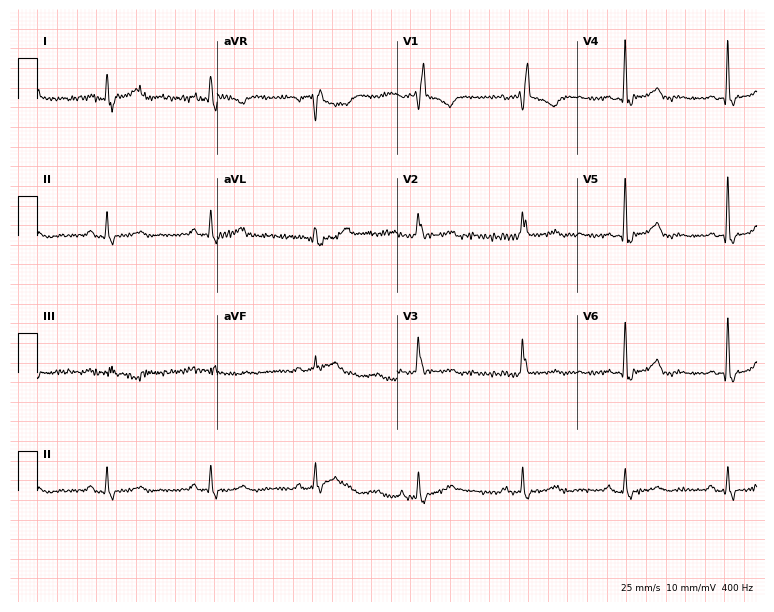
Standard 12-lead ECG recorded from a female patient, 62 years old. The tracing shows right bundle branch block (RBBB).